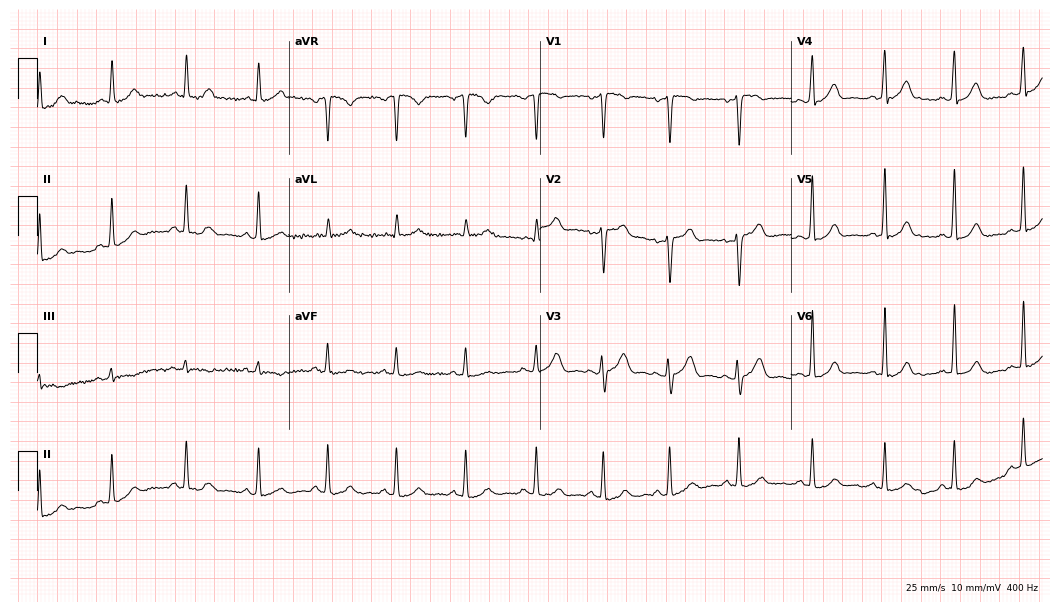
Resting 12-lead electrocardiogram. Patient: a female, 31 years old. Read as a normal ECG.